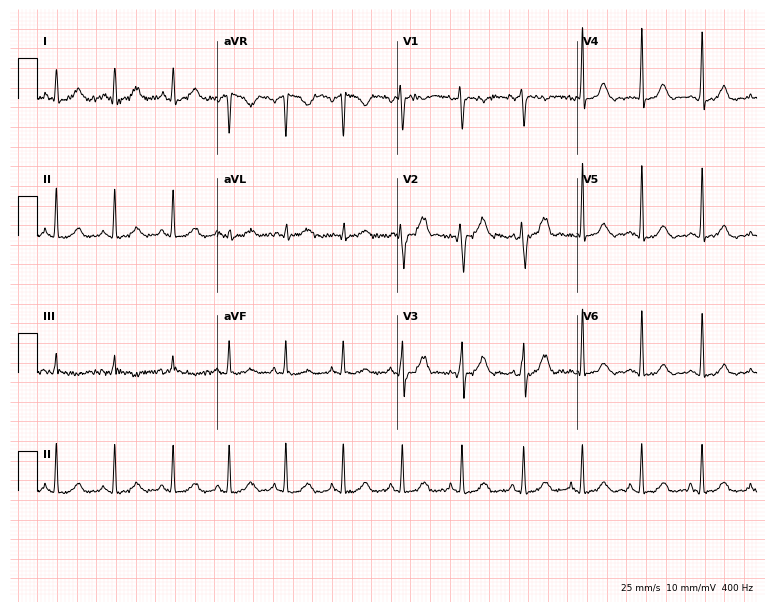
12-lead ECG from a 27-year-old female patient. No first-degree AV block, right bundle branch block, left bundle branch block, sinus bradycardia, atrial fibrillation or sinus tachycardia recorded for this tracing. Other findings, if any, are not listed.